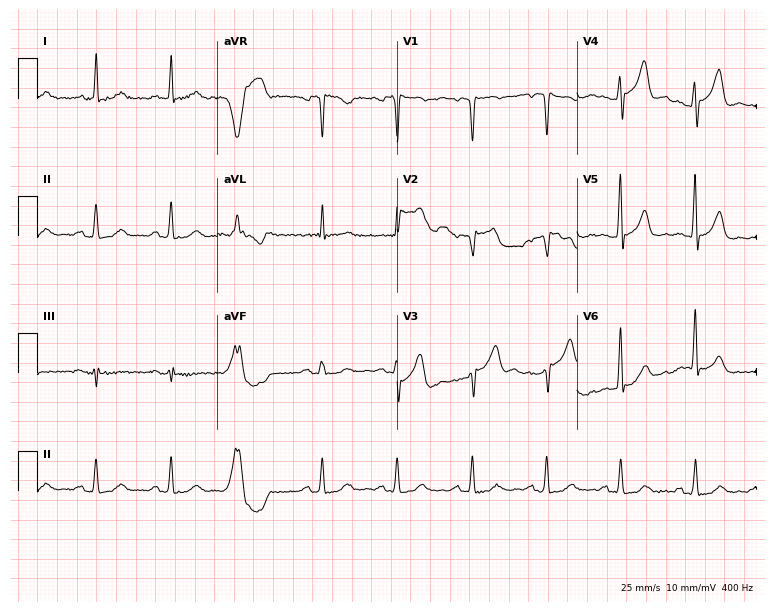
Standard 12-lead ECG recorded from a male patient, 68 years old. None of these six findings is recorded: first-degree AV block, right bundle branch block (RBBB), left bundle branch block (LBBB), sinus bradycardia, atrial fibrillation (AF), sinus tachycardia.